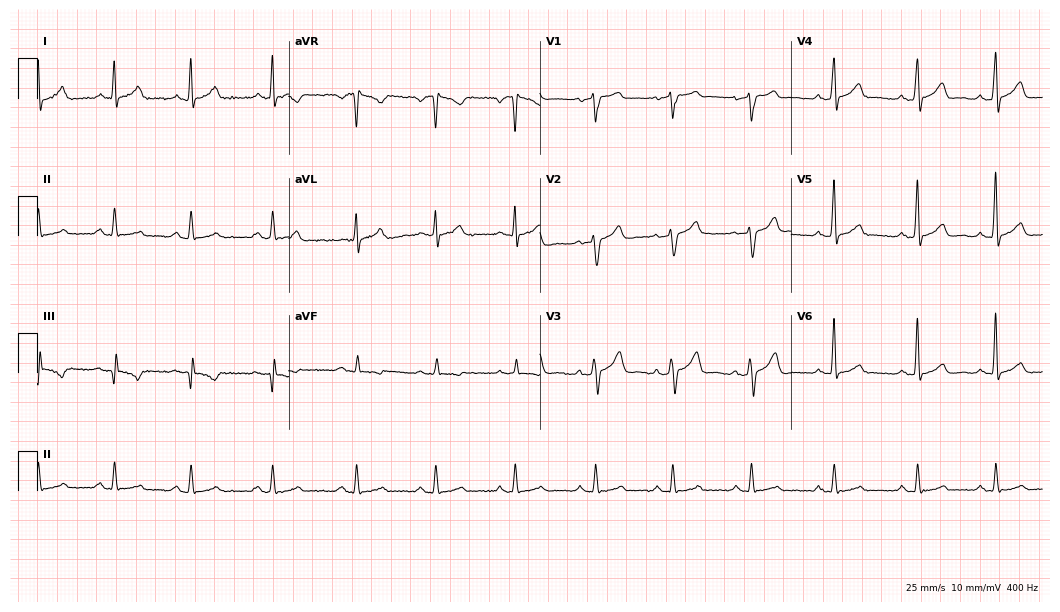
Resting 12-lead electrocardiogram. Patient: a 29-year-old male. Read as a normal ECG.